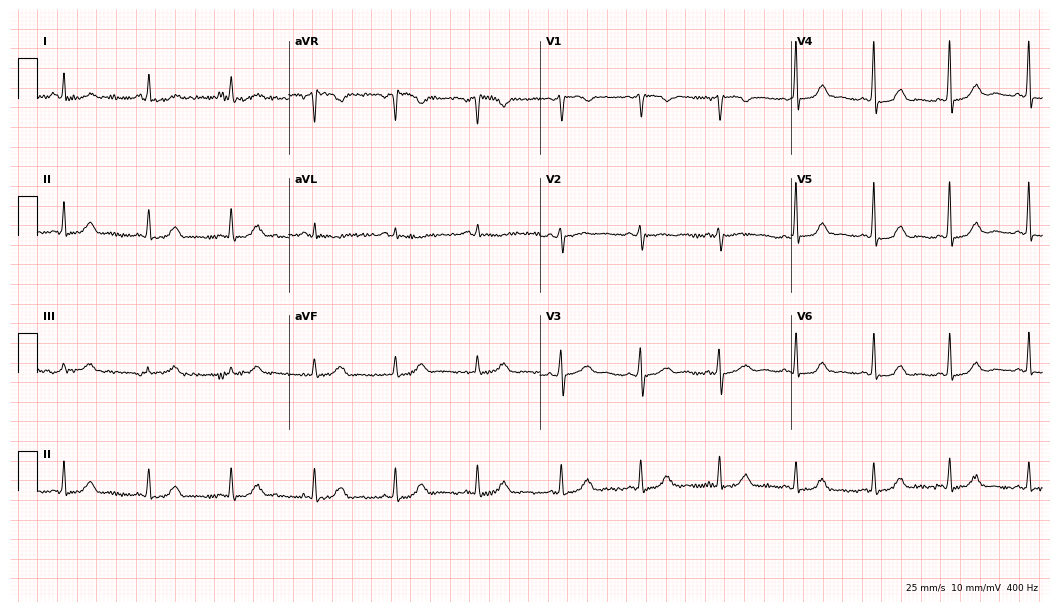
12-lead ECG from a 64-year-old female patient. Recorded interpretation: within normal limits.